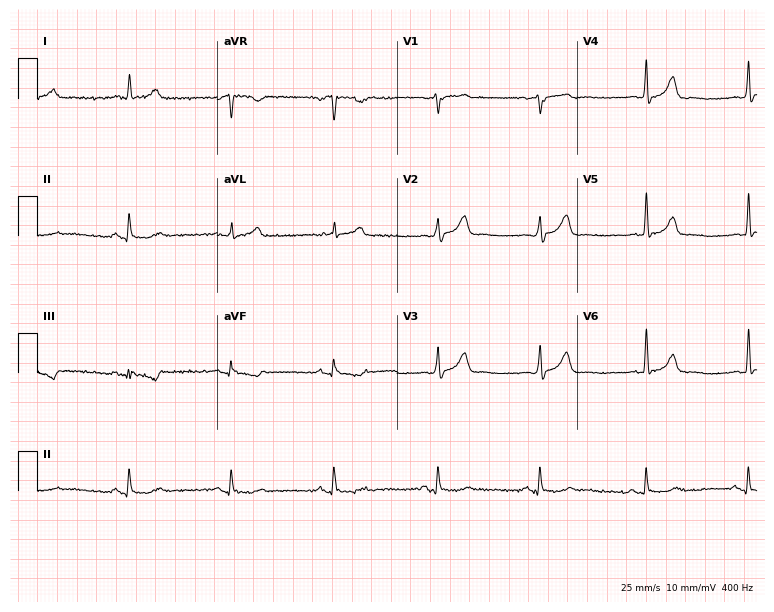
ECG (7.3-second recording at 400 Hz) — a 75-year-old male. Labelled as a normal ECG.